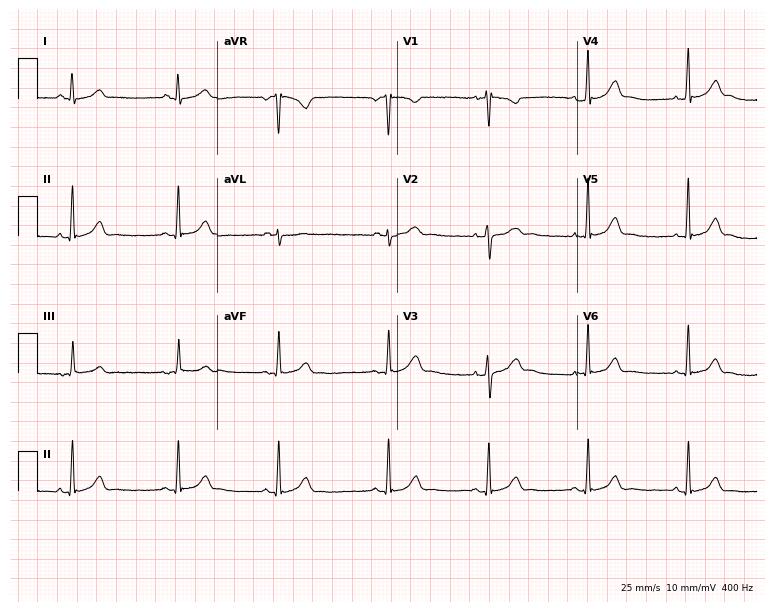
12-lead ECG from a 23-year-old woman (7.3-second recording at 400 Hz). No first-degree AV block, right bundle branch block (RBBB), left bundle branch block (LBBB), sinus bradycardia, atrial fibrillation (AF) or sinus tachycardia recorded for this tracing.